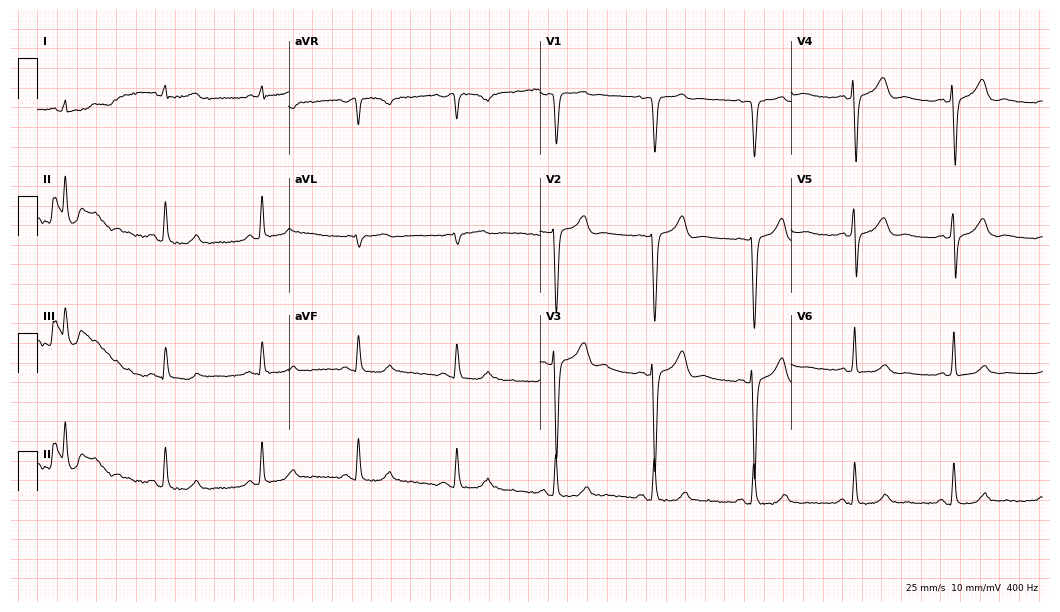
Resting 12-lead electrocardiogram (10.2-second recording at 400 Hz). Patient: a 40-year-old male. Read as a normal ECG.